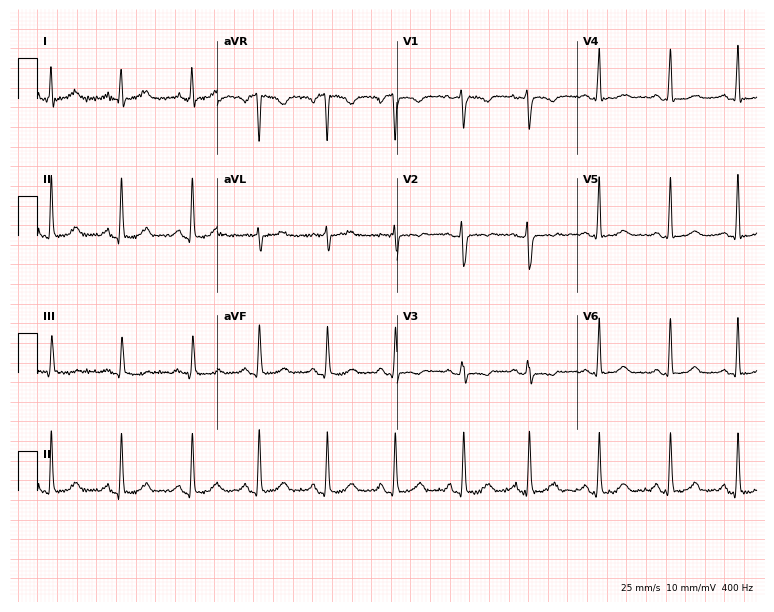
Standard 12-lead ECG recorded from a female, 31 years old (7.3-second recording at 400 Hz). Read as a normal ECG.